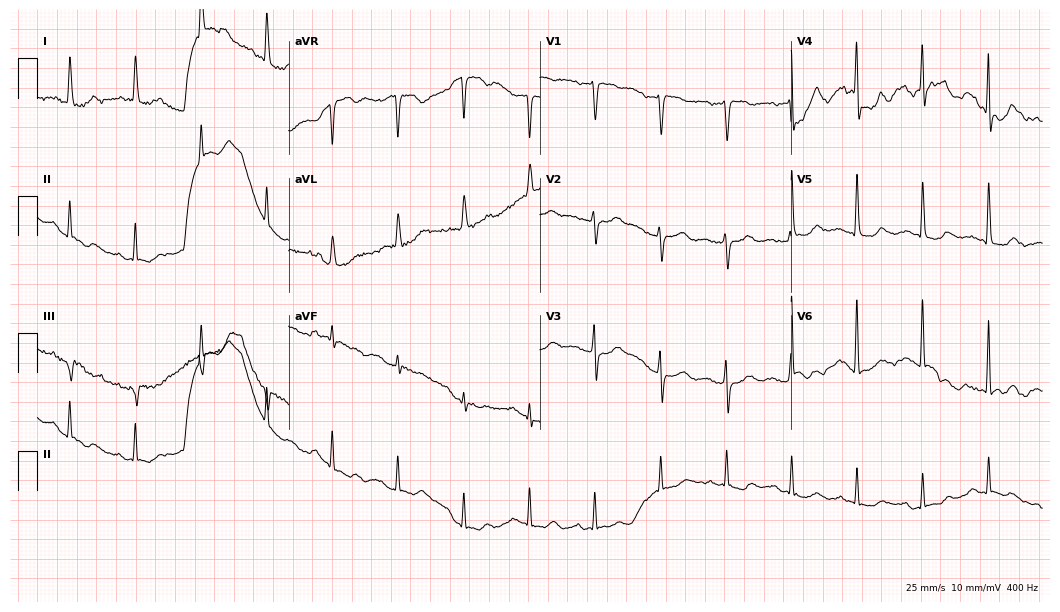
Resting 12-lead electrocardiogram (10.2-second recording at 400 Hz). Patient: an 81-year-old female. None of these six findings is recorded: first-degree AV block, right bundle branch block, left bundle branch block, sinus bradycardia, atrial fibrillation, sinus tachycardia. Only these six findings were labelled.